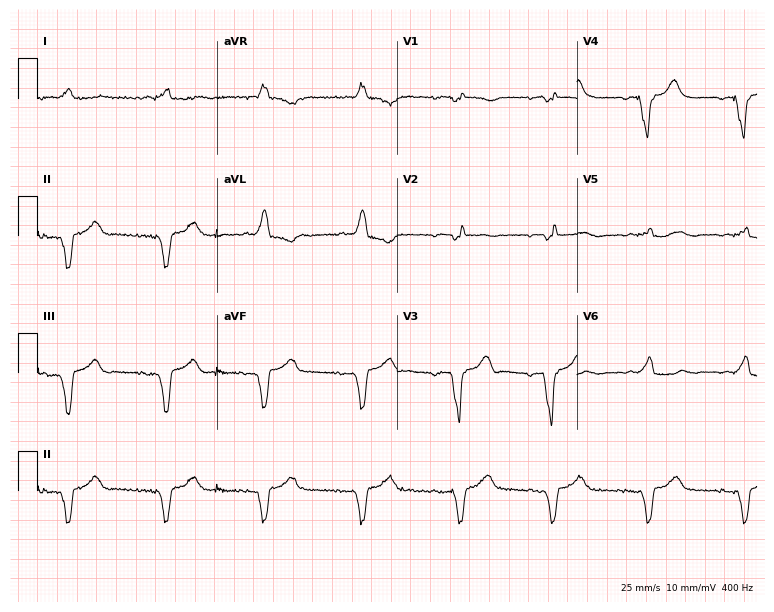
12-lead ECG from an 85-year-old male patient (7.3-second recording at 400 Hz). No first-degree AV block, right bundle branch block (RBBB), left bundle branch block (LBBB), sinus bradycardia, atrial fibrillation (AF) or sinus tachycardia recorded for this tracing.